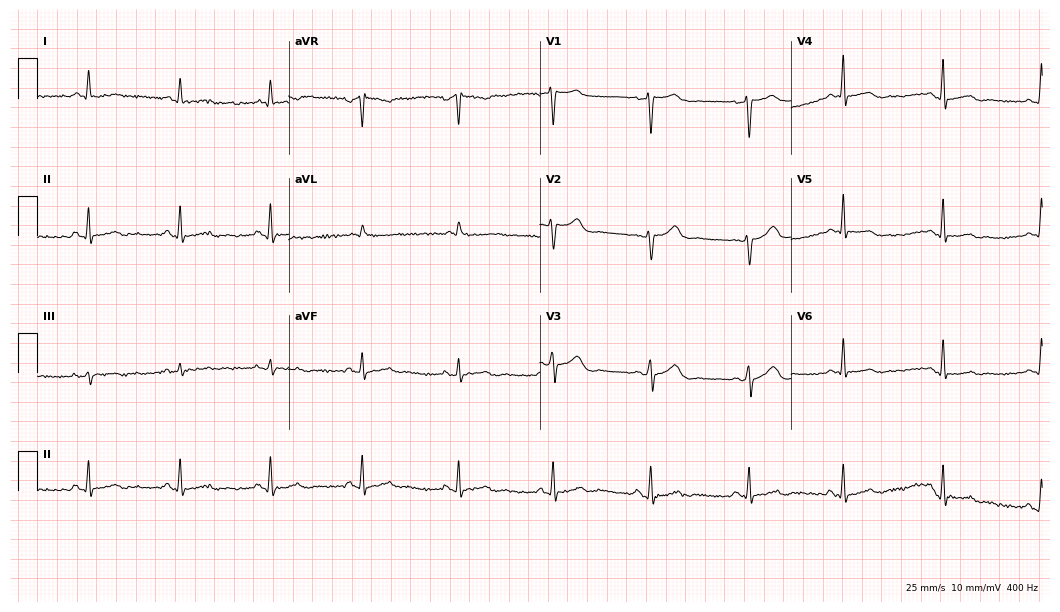
12-lead ECG from a woman, 53 years old (10.2-second recording at 400 Hz). Recorded interpretation: within normal limits.